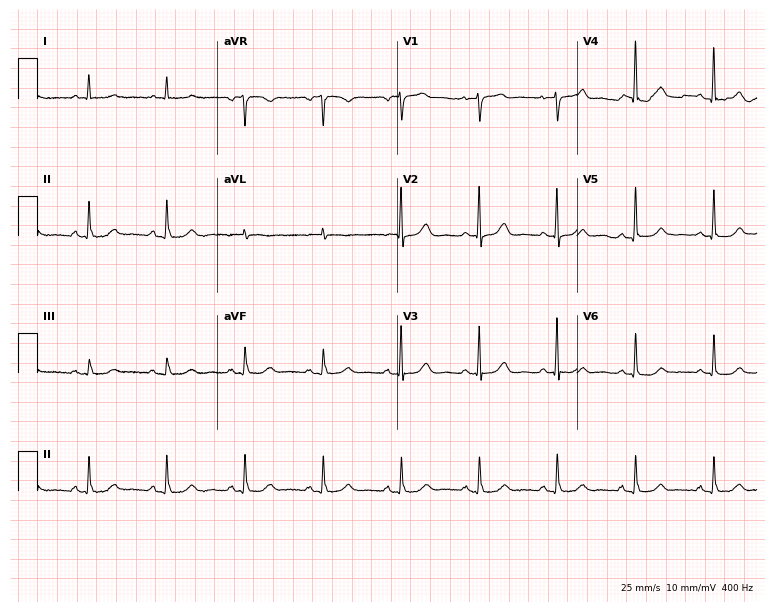
12-lead ECG from a female patient, 74 years old. Recorded interpretation: within normal limits.